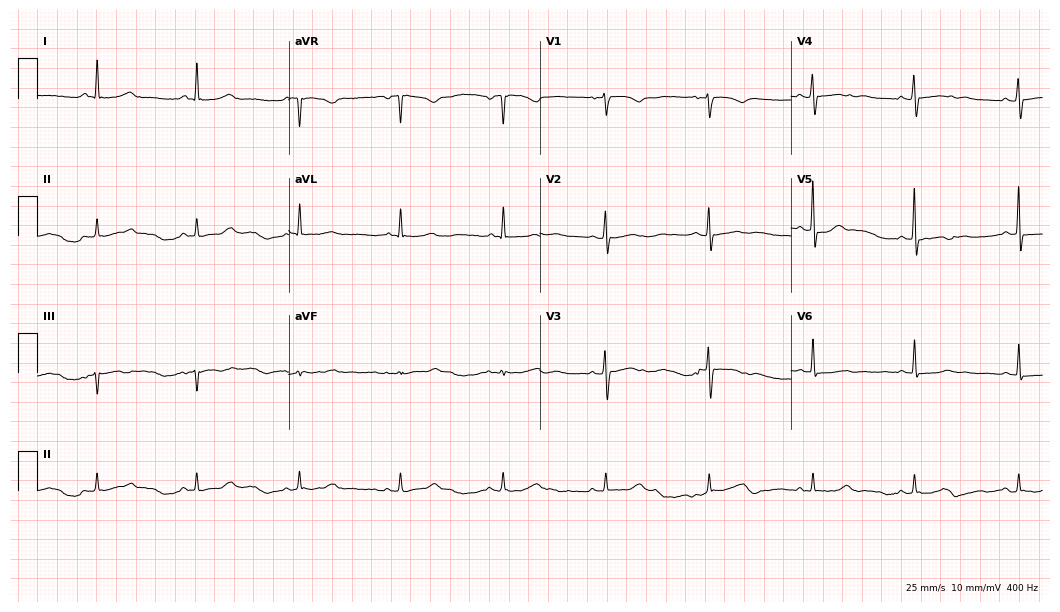
12-lead ECG (10.2-second recording at 400 Hz) from a 55-year-old female patient. Screened for six findings — first-degree AV block, right bundle branch block, left bundle branch block, sinus bradycardia, atrial fibrillation, sinus tachycardia — none is recorded.